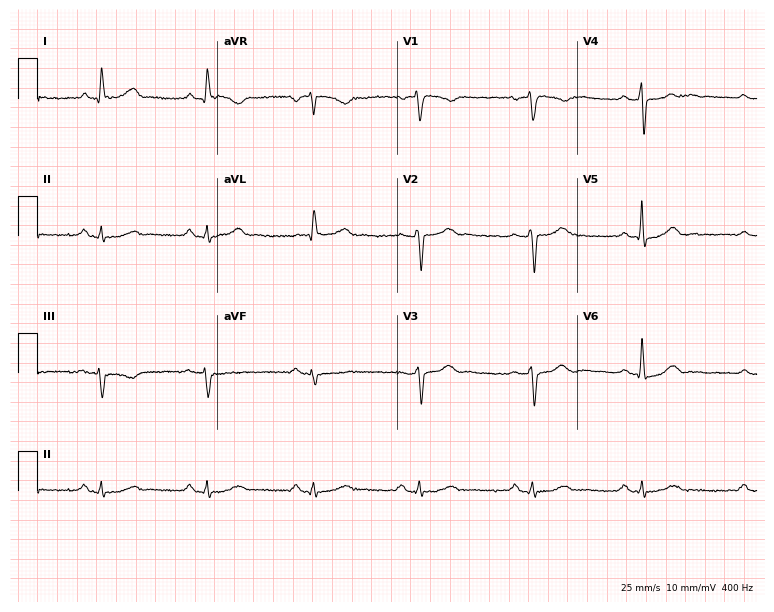
12-lead ECG (7.3-second recording at 400 Hz) from a 60-year-old man. Labelled as a normal ECG.